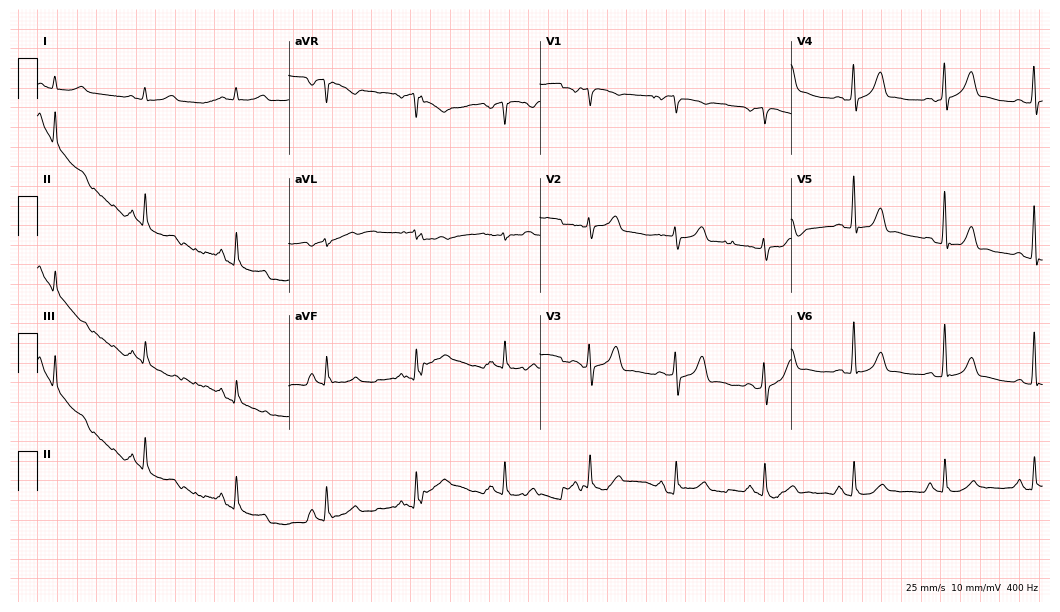
12-lead ECG from a male patient, 61 years old. Labelled as a normal ECG.